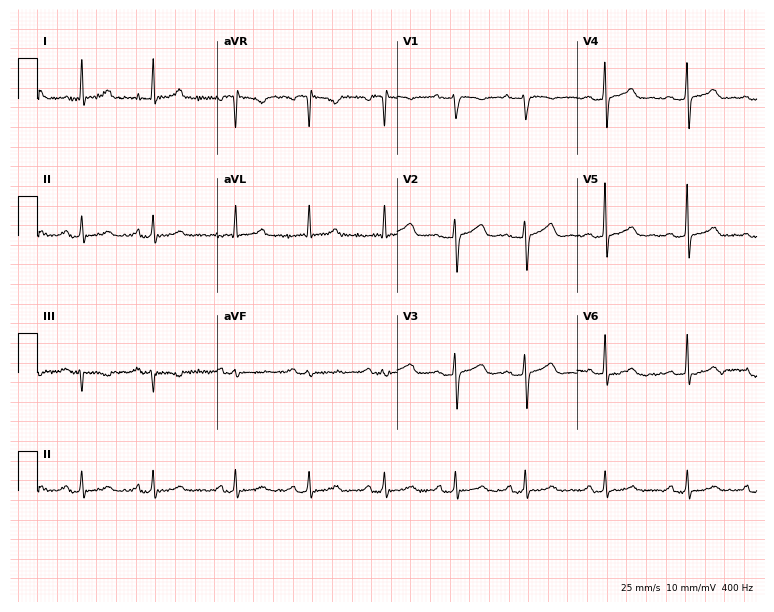
Electrocardiogram, a female, 39 years old. Overall reading on record: normal ECG.